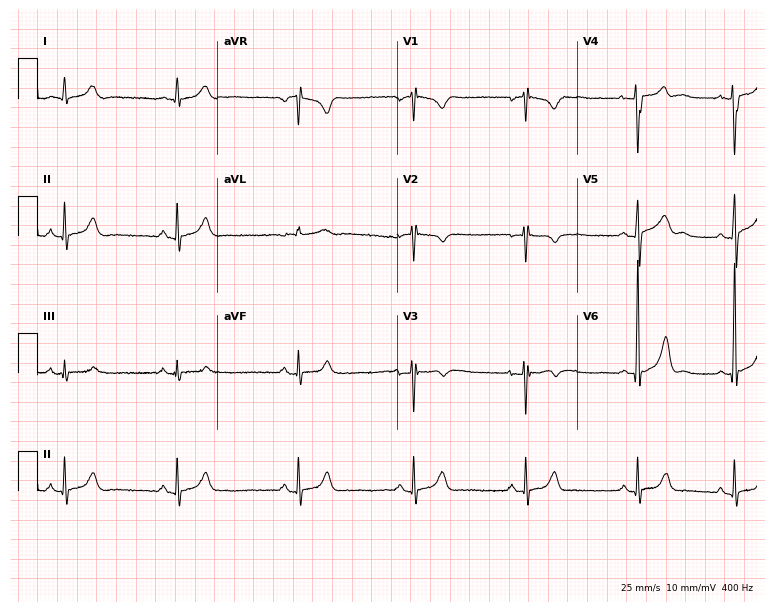
Electrocardiogram (7.3-second recording at 400 Hz), a male patient, 17 years old. Of the six screened findings (first-degree AV block, right bundle branch block (RBBB), left bundle branch block (LBBB), sinus bradycardia, atrial fibrillation (AF), sinus tachycardia), none is recorded.